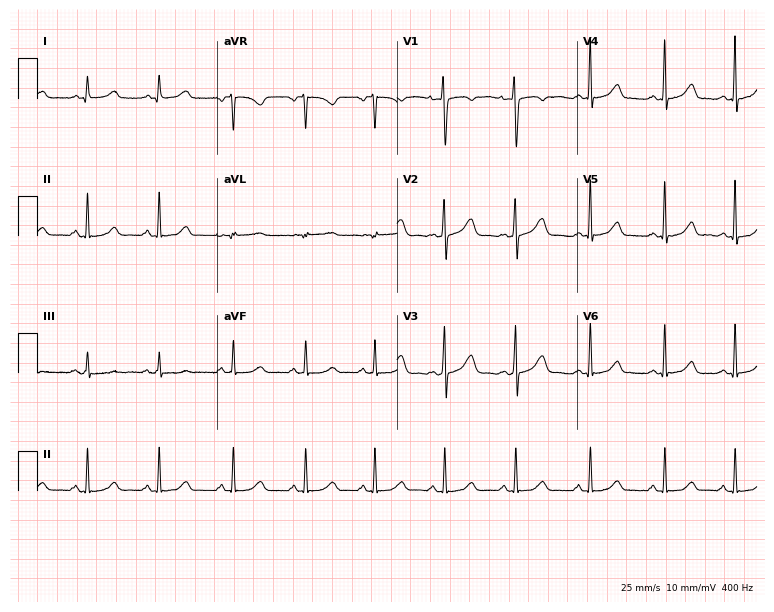
12-lead ECG from a female, 28 years old. Labelled as a normal ECG.